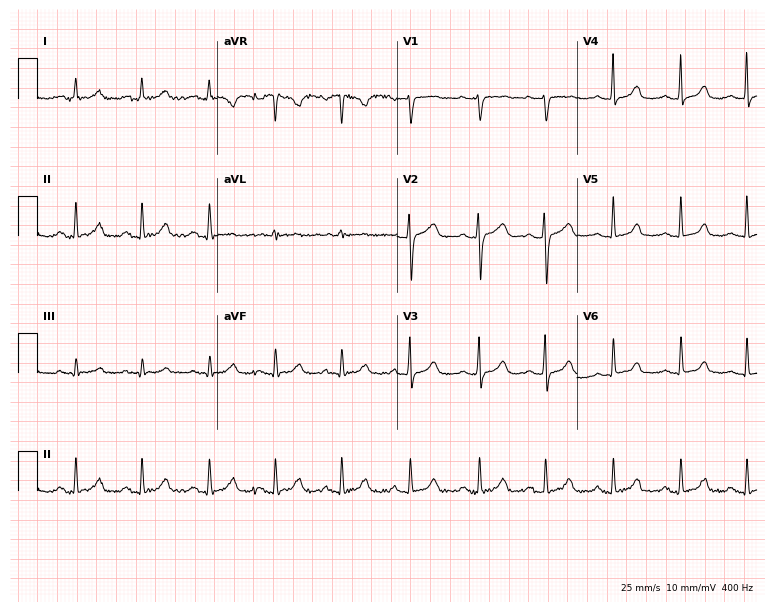
Electrocardiogram, a woman, 27 years old. Overall reading on record: normal ECG.